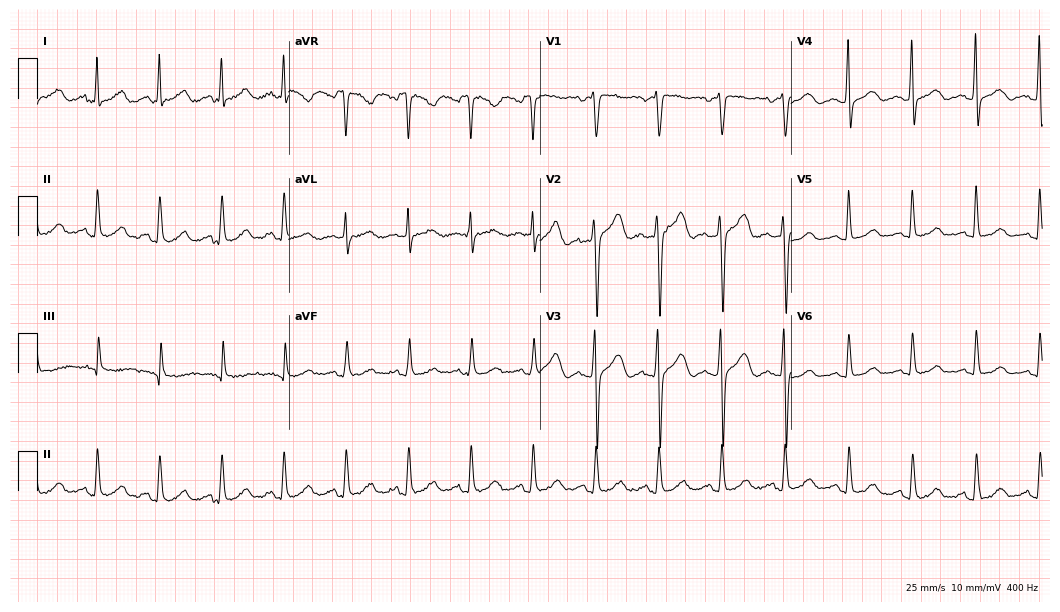
12-lead ECG from a female, 54 years old. Recorded interpretation: within normal limits.